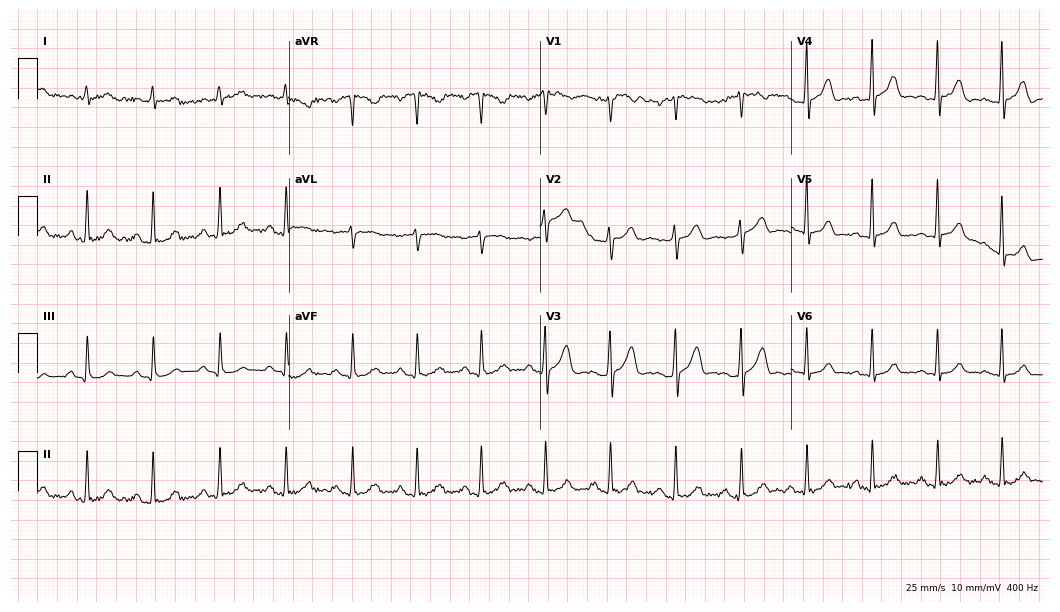
Electrocardiogram, a man, 55 years old. Overall reading on record: normal ECG.